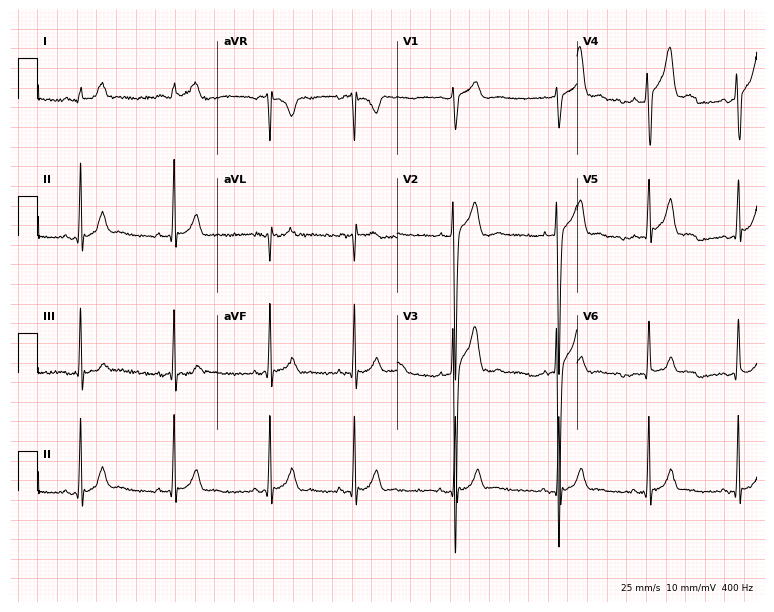
12-lead ECG from a male, 21 years old (7.3-second recording at 400 Hz). Recorded interpretation: within normal limits.